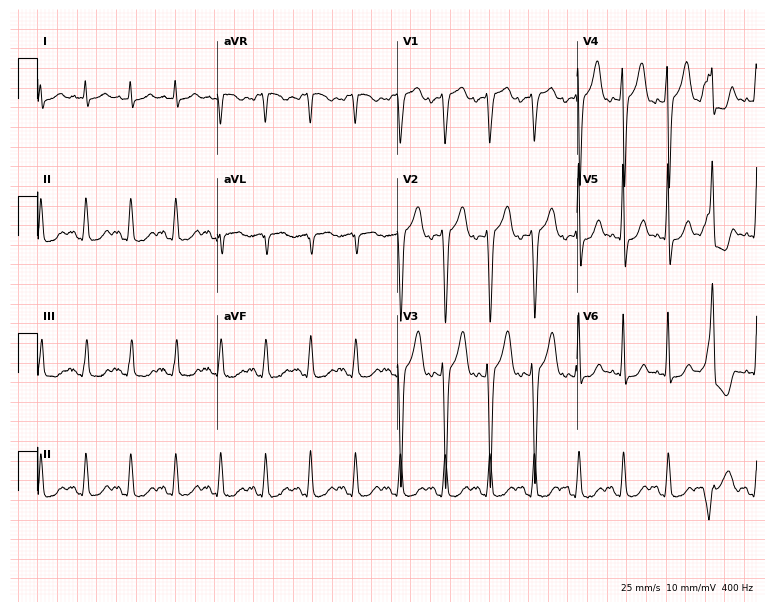
12-lead ECG (7.3-second recording at 400 Hz) from a 68-year-old male patient. Findings include sinus tachycardia (a sinus rate of 100 beats per minute or more).